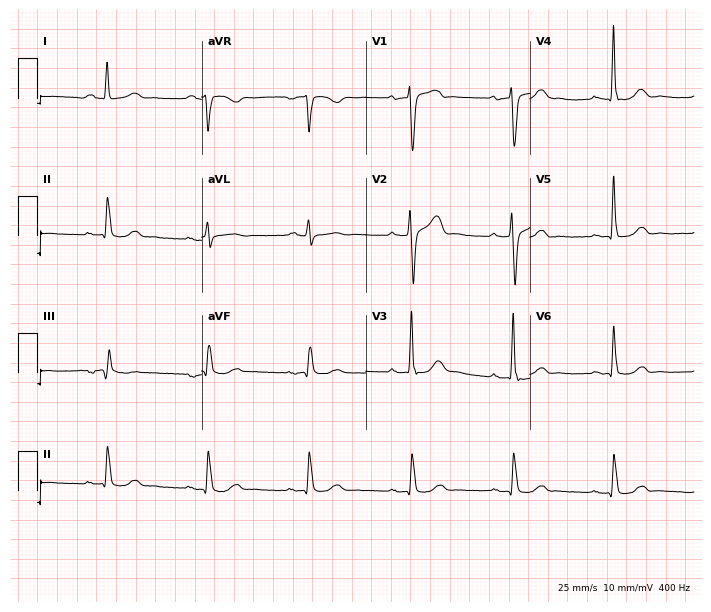
12-lead ECG from a man, 60 years old (6.7-second recording at 400 Hz). Recorded interpretation: within normal limits.